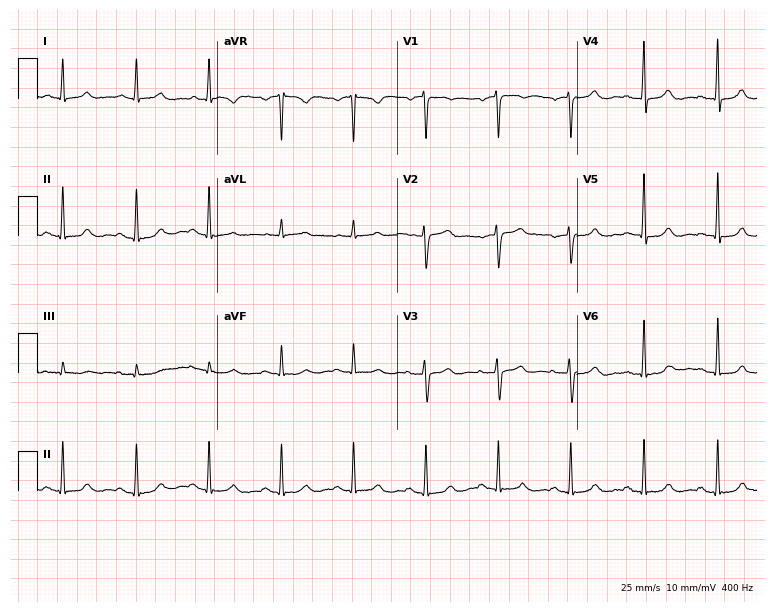
Standard 12-lead ECG recorded from a 57-year-old female (7.3-second recording at 400 Hz). Read as a normal ECG.